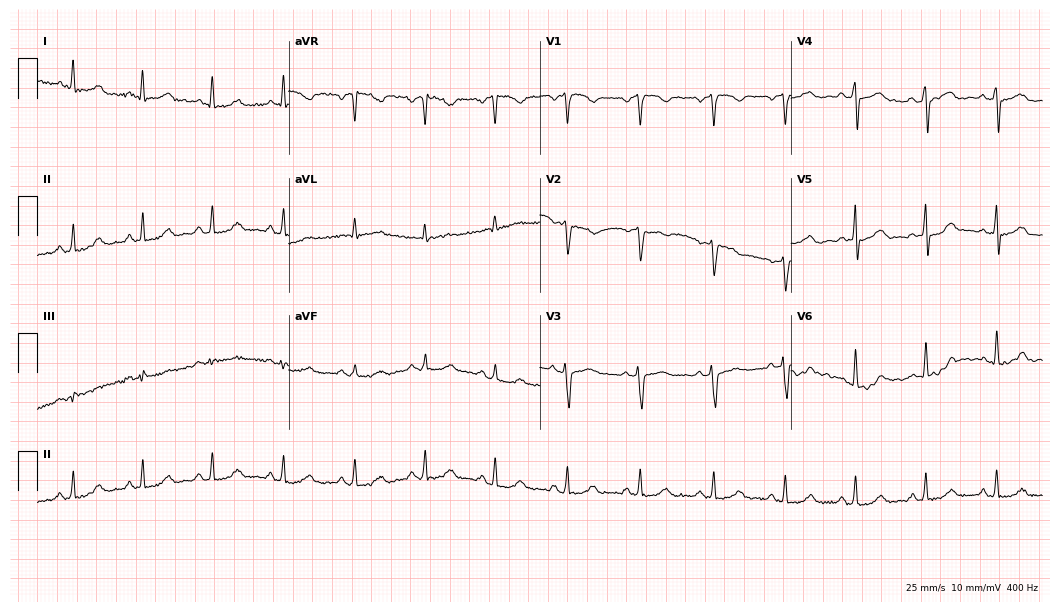
12-lead ECG (10.2-second recording at 400 Hz) from a 49-year-old female patient. Screened for six findings — first-degree AV block, right bundle branch block, left bundle branch block, sinus bradycardia, atrial fibrillation, sinus tachycardia — none is recorded. Only these six findings were labelled.